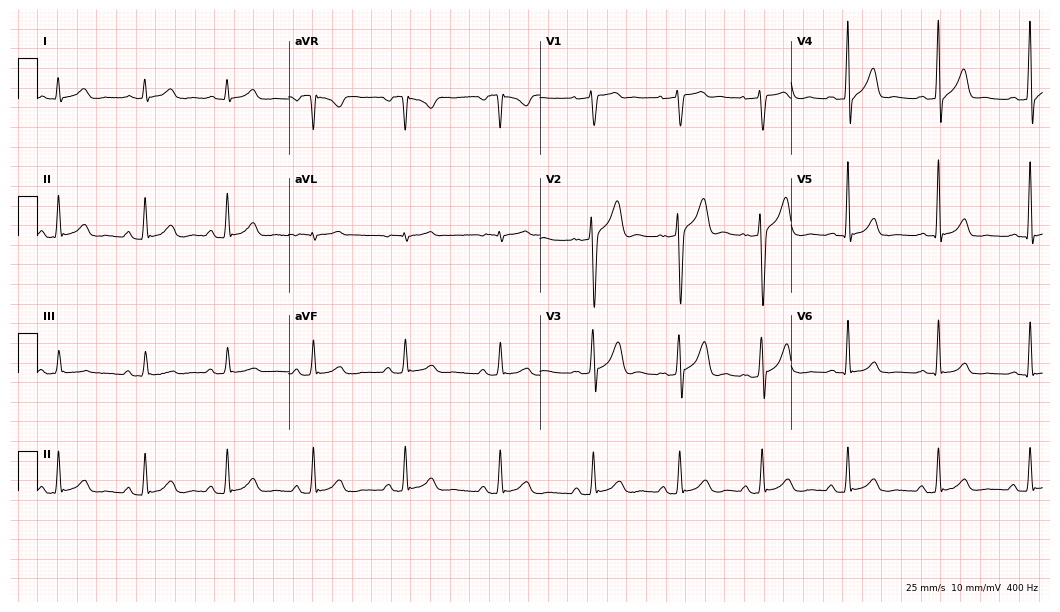
ECG (10.2-second recording at 400 Hz) — a man, 40 years old. Labelled as a normal ECG.